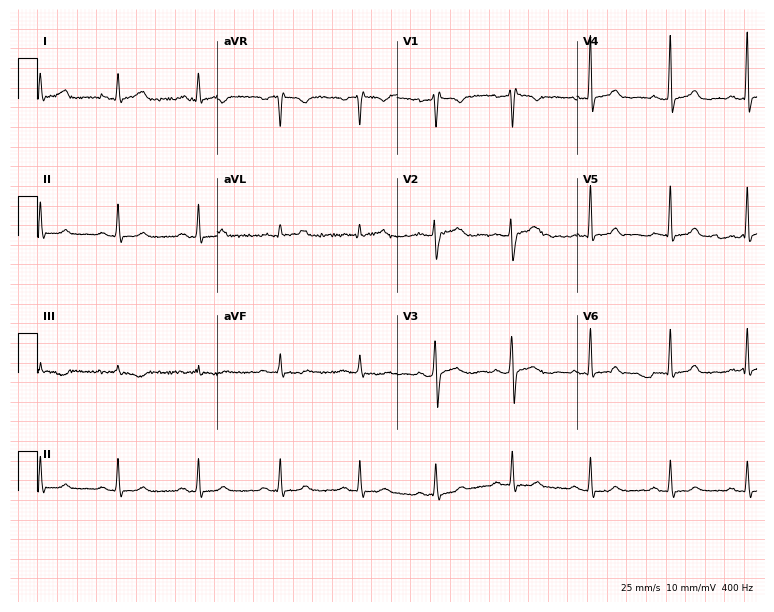
Standard 12-lead ECG recorded from a 33-year-old female (7.3-second recording at 400 Hz). None of these six findings is recorded: first-degree AV block, right bundle branch block, left bundle branch block, sinus bradycardia, atrial fibrillation, sinus tachycardia.